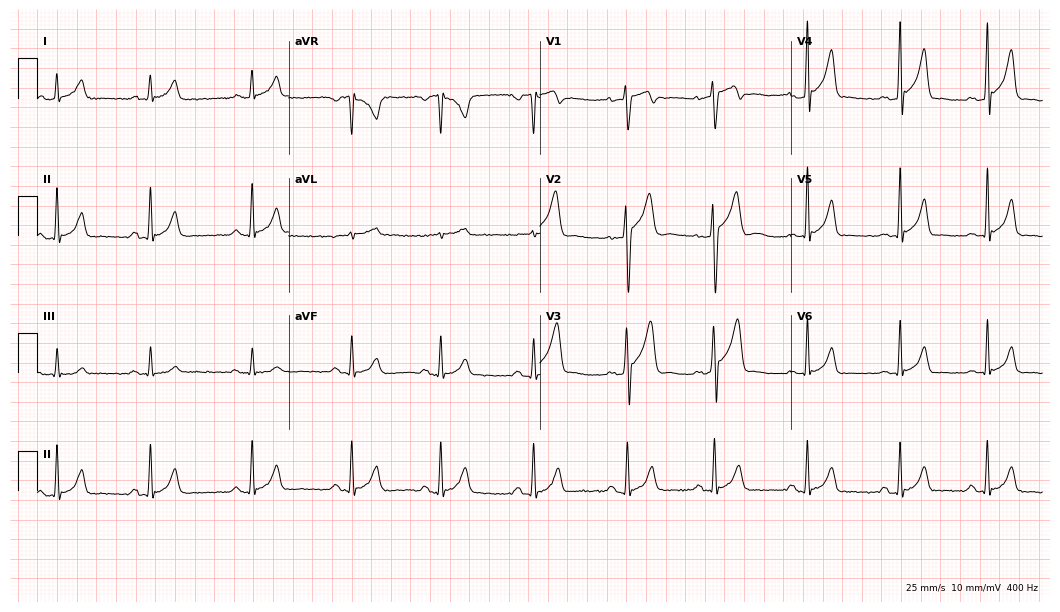
ECG — a man, 24 years old. Labelled as a normal ECG.